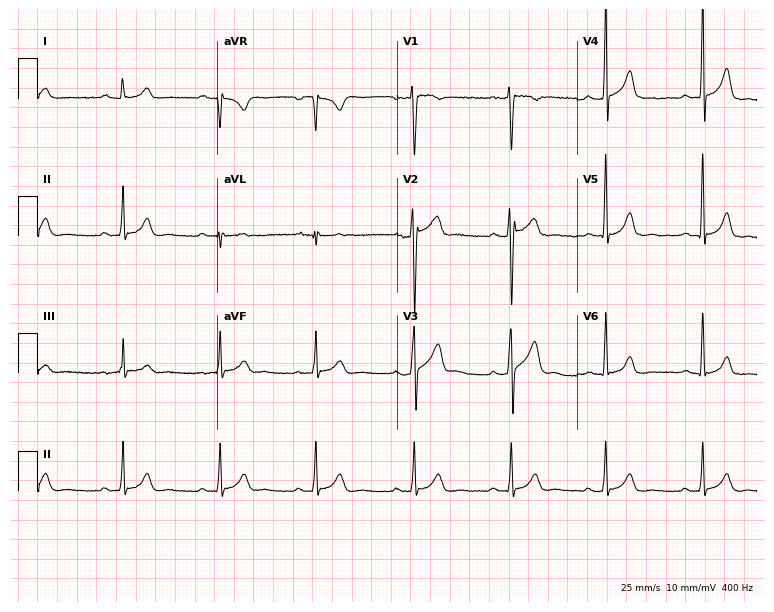
ECG — a male patient, 34 years old. Labelled as a normal ECG.